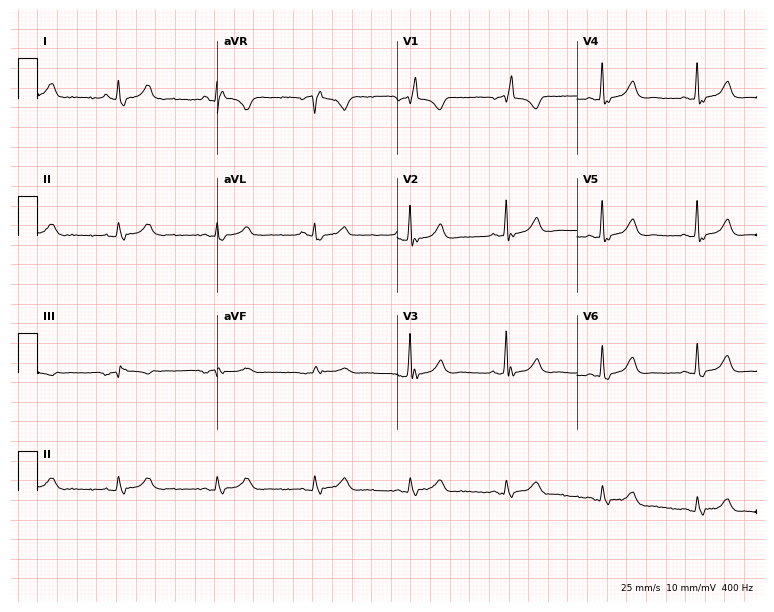
Standard 12-lead ECG recorded from a female, 83 years old (7.3-second recording at 400 Hz). The tracing shows right bundle branch block.